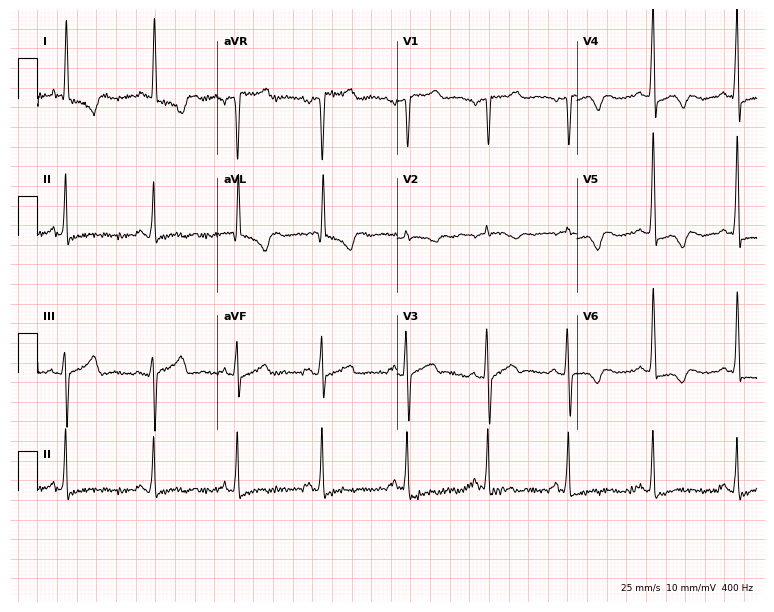
Electrocardiogram (7.3-second recording at 400 Hz), a 54-year-old female patient. Of the six screened findings (first-degree AV block, right bundle branch block (RBBB), left bundle branch block (LBBB), sinus bradycardia, atrial fibrillation (AF), sinus tachycardia), none is recorded.